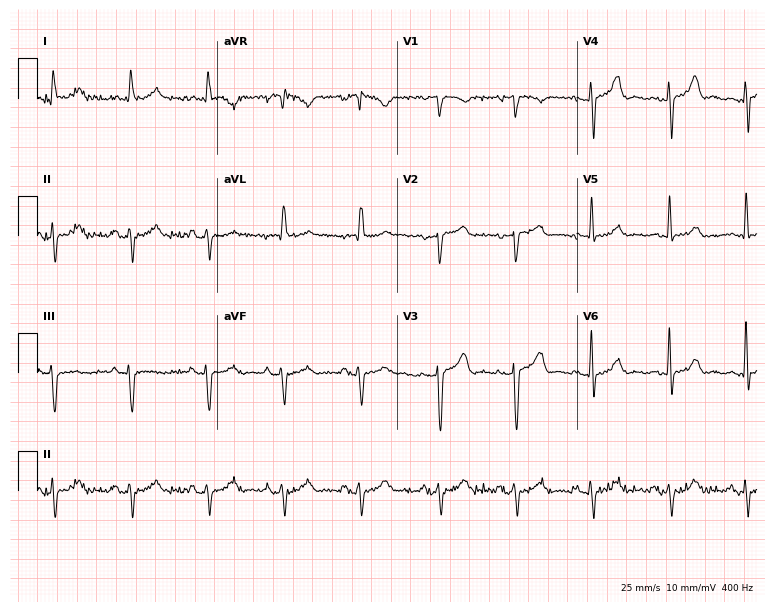
12-lead ECG from a female patient, 65 years old. No first-degree AV block, right bundle branch block, left bundle branch block, sinus bradycardia, atrial fibrillation or sinus tachycardia recorded for this tracing. Other findings, if any, are not listed.